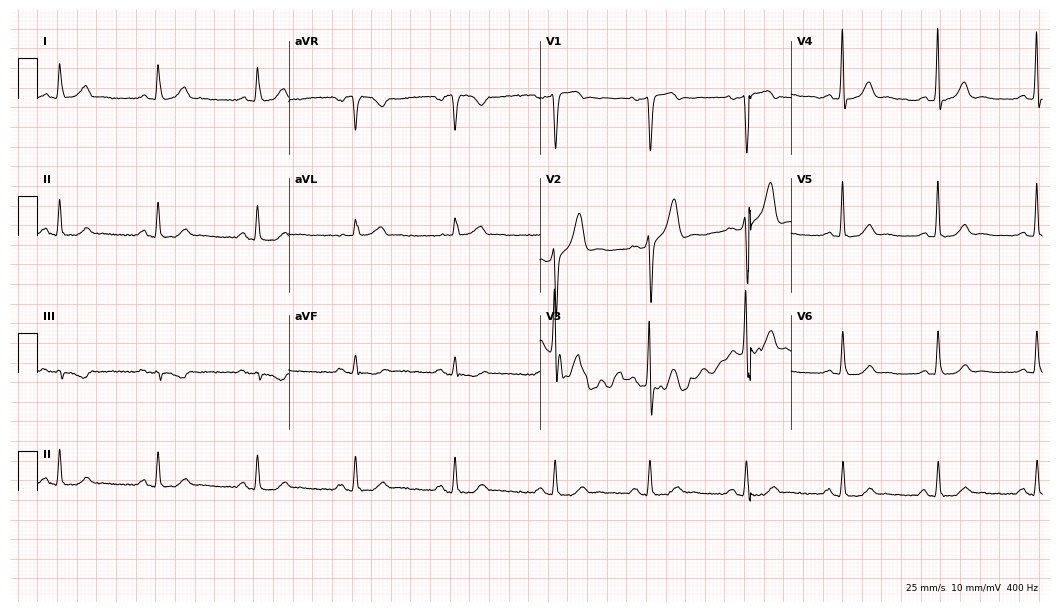
Standard 12-lead ECG recorded from a male patient, 51 years old (10.2-second recording at 400 Hz). None of these six findings is recorded: first-degree AV block, right bundle branch block, left bundle branch block, sinus bradycardia, atrial fibrillation, sinus tachycardia. Only these six findings were labelled.